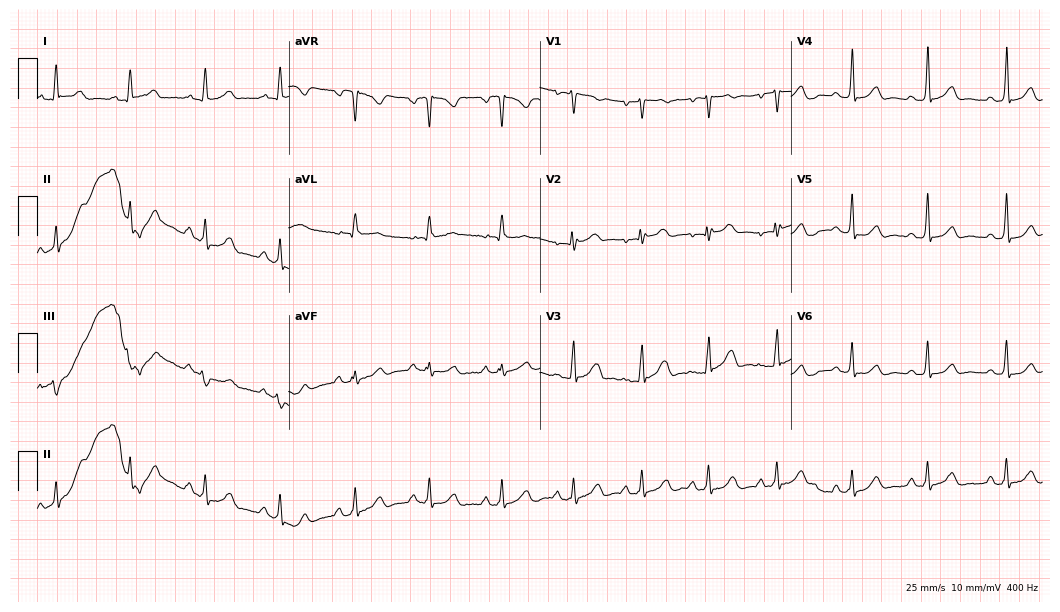
Standard 12-lead ECG recorded from a 38-year-old woman. Read as a normal ECG.